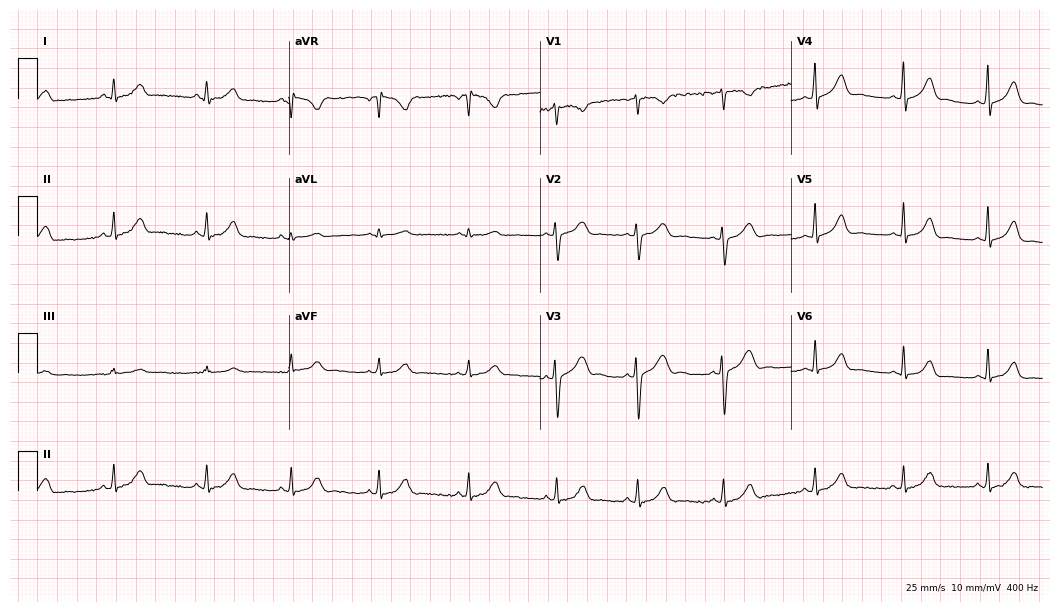
12-lead ECG (10.2-second recording at 400 Hz) from a woman, 29 years old. Labelled as a normal ECG.